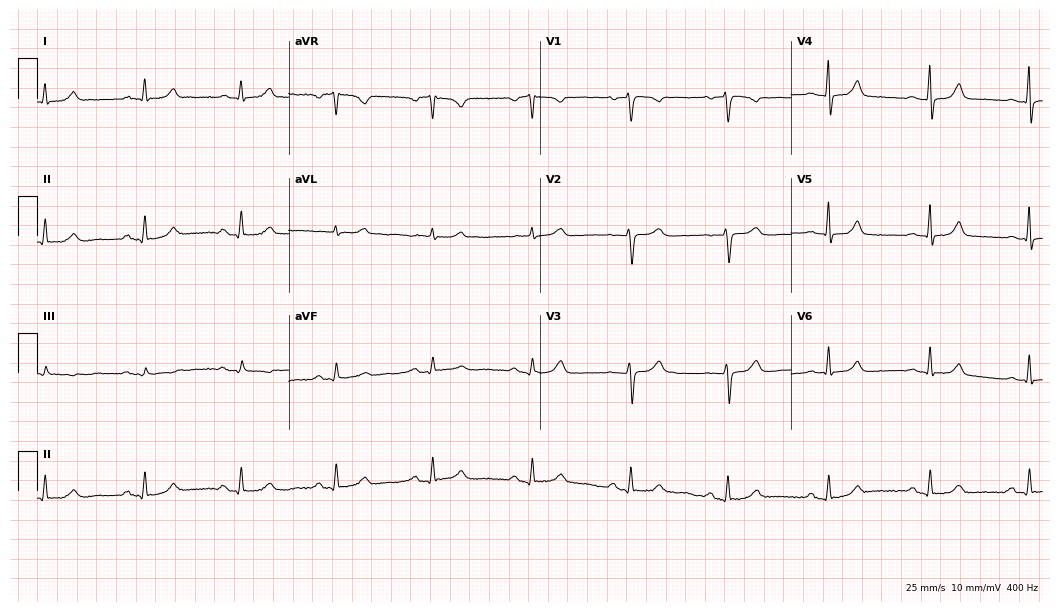
Electrocardiogram (10.2-second recording at 400 Hz), a female patient, 51 years old. Overall reading on record: normal ECG.